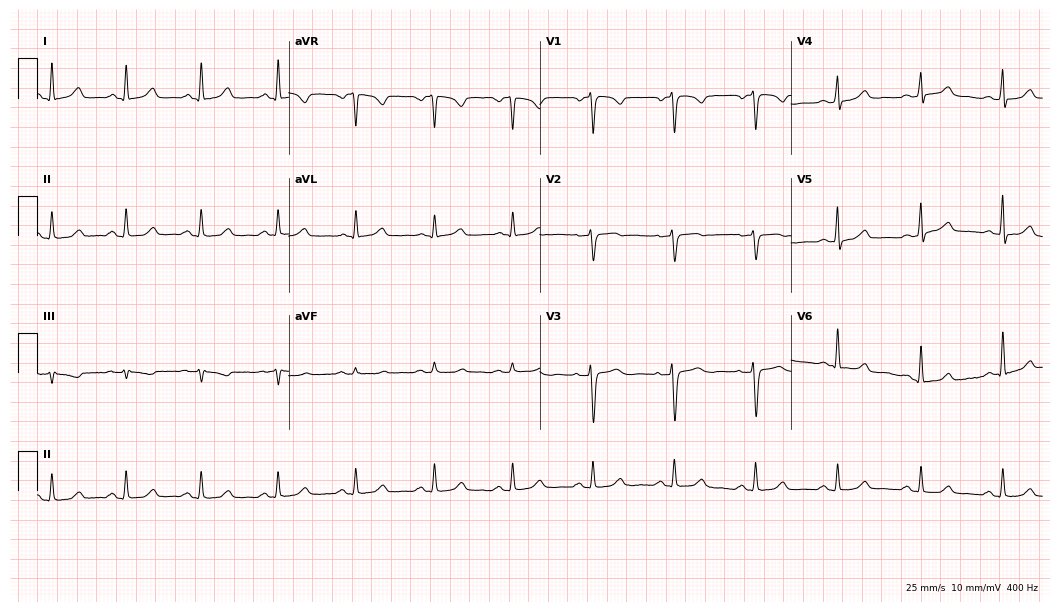
ECG — a 43-year-old woman. Labelled as a normal ECG.